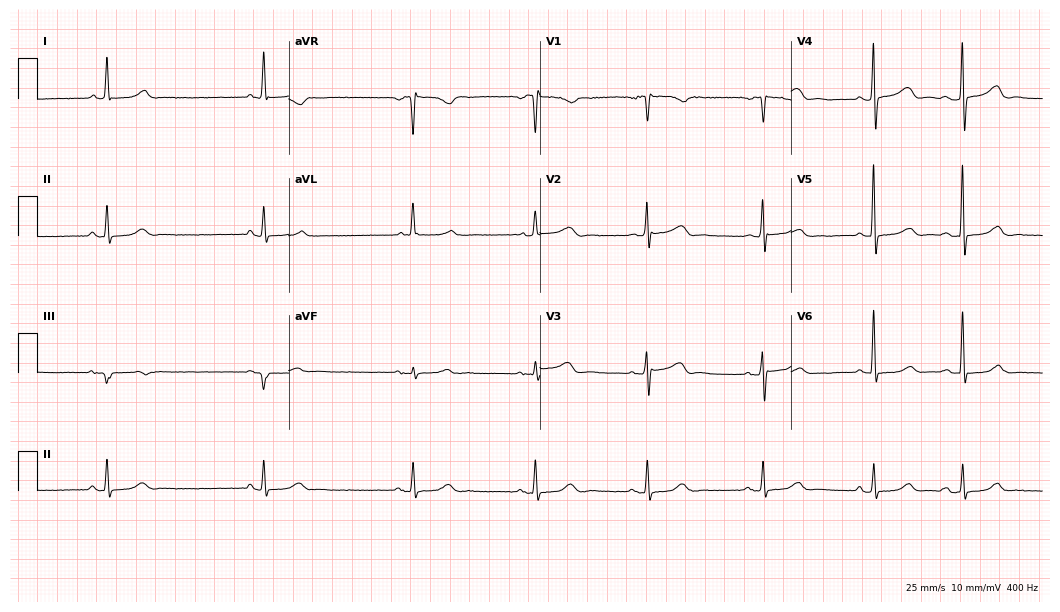
12-lead ECG from a female, 74 years old (10.2-second recording at 400 Hz). Recorded interpretation: within normal limits.